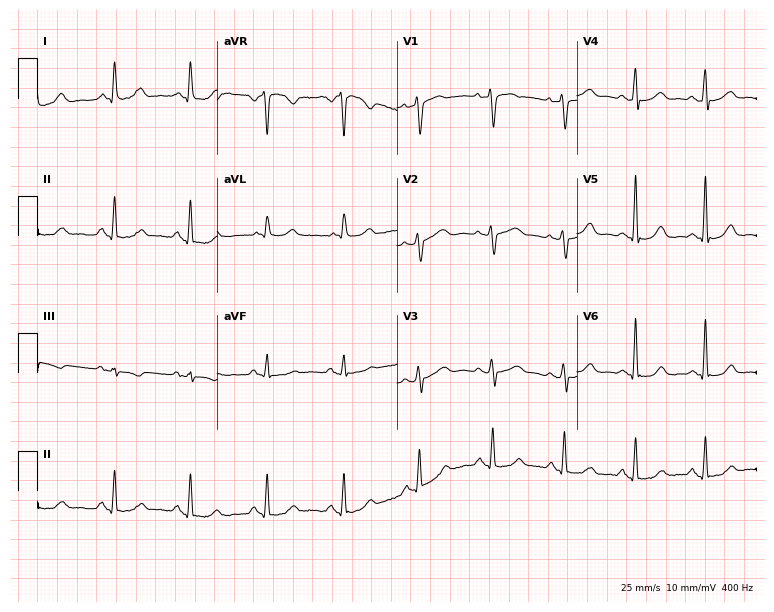
Electrocardiogram (7.3-second recording at 400 Hz), a female, 61 years old. Of the six screened findings (first-degree AV block, right bundle branch block, left bundle branch block, sinus bradycardia, atrial fibrillation, sinus tachycardia), none is recorded. Only these six findings were labelled.